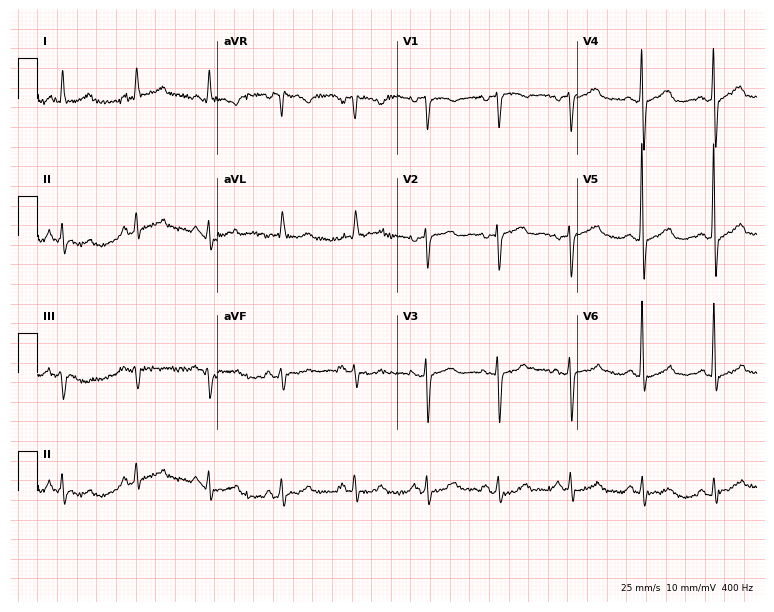
12-lead ECG (7.3-second recording at 400 Hz) from a female patient, 71 years old. Labelled as a normal ECG.